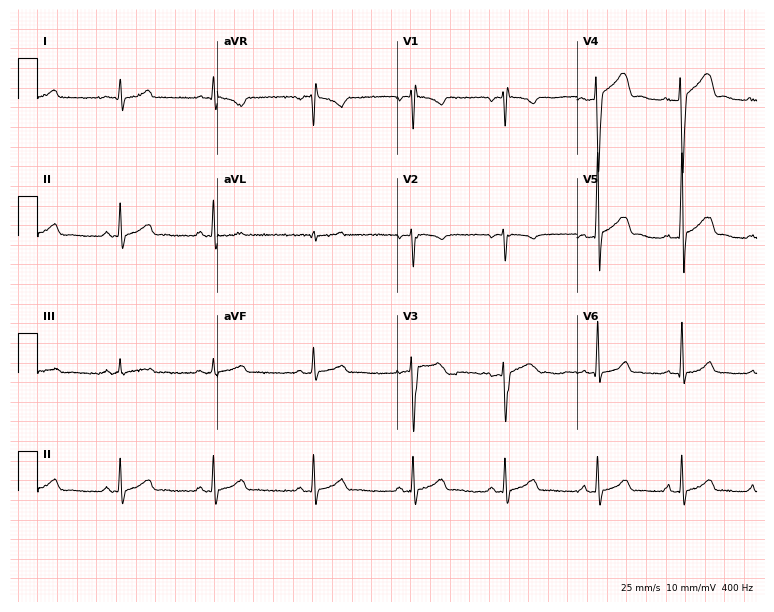
Electrocardiogram (7.3-second recording at 400 Hz), a 19-year-old man. Of the six screened findings (first-degree AV block, right bundle branch block, left bundle branch block, sinus bradycardia, atrial fibrillation, sinus tachycardia), none is recorded.